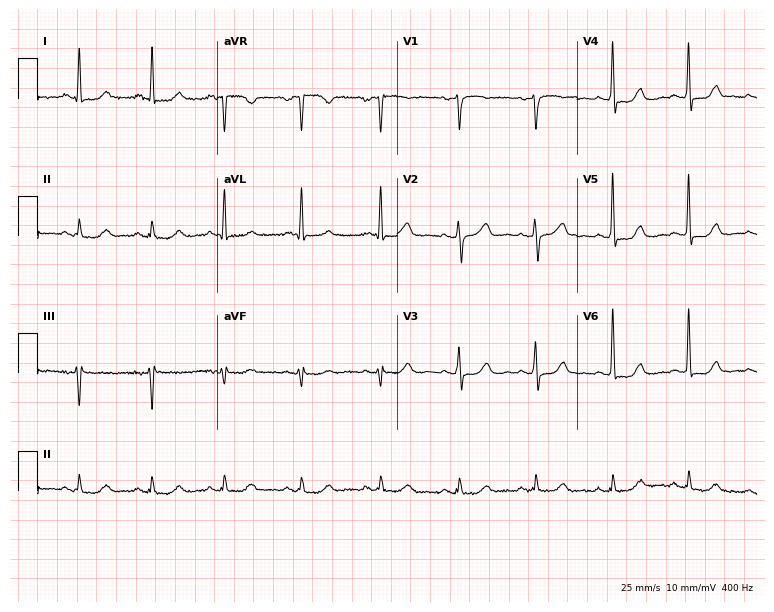
12-lead ECG from a female, 76 years old. Recorded interpretation: within normal limits.